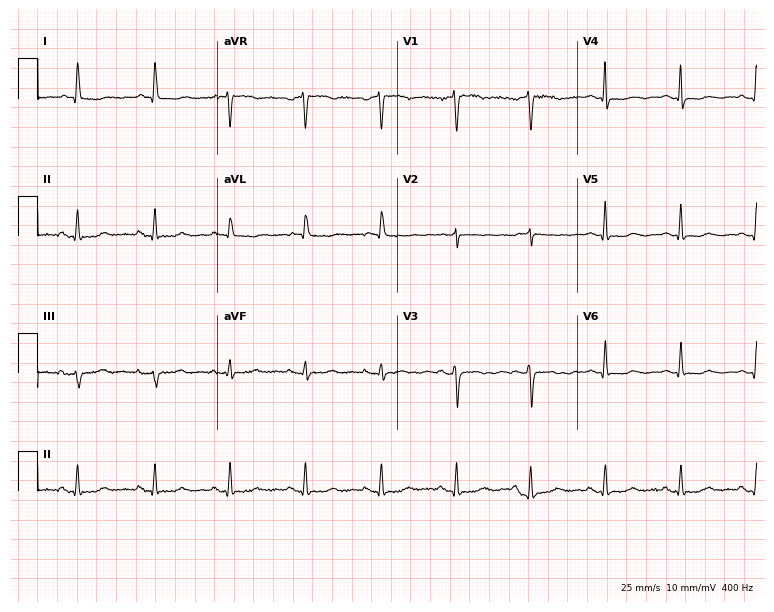
12-lead ECG from a 63-year-old woman (7.3-second recording at 400 Hz). No first-degree AV block, right bundle branch block (RBBB), left bundle branch block (LBBB), sinus bradycardia, atrial fibrillation (AF) or sinus tachycardia recorded for this tracing.